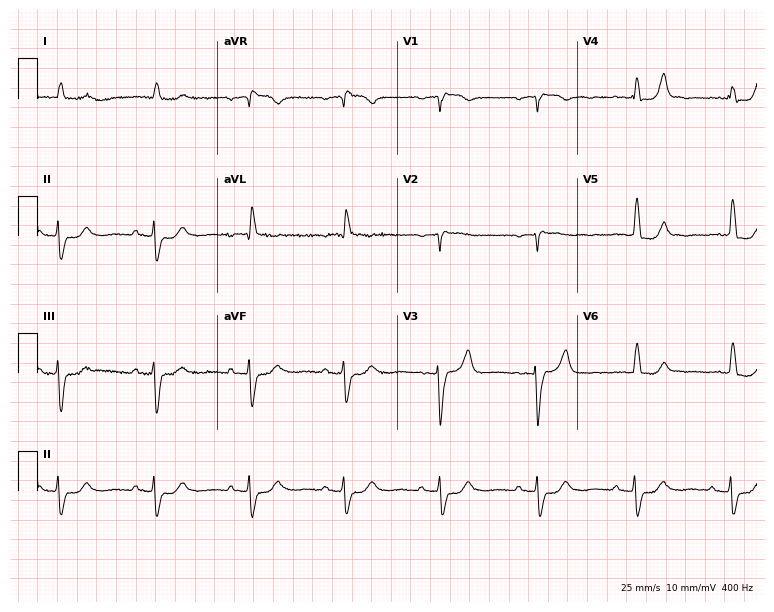
12-lead ECG from a man, 83 years old. No first-degree AV block, right bundle branch block (RBBB), left bundle branch block (LBBB), sinus bradycardia, atrial fibrillation (AF) or sinus tachycardia recorded for this tracing.